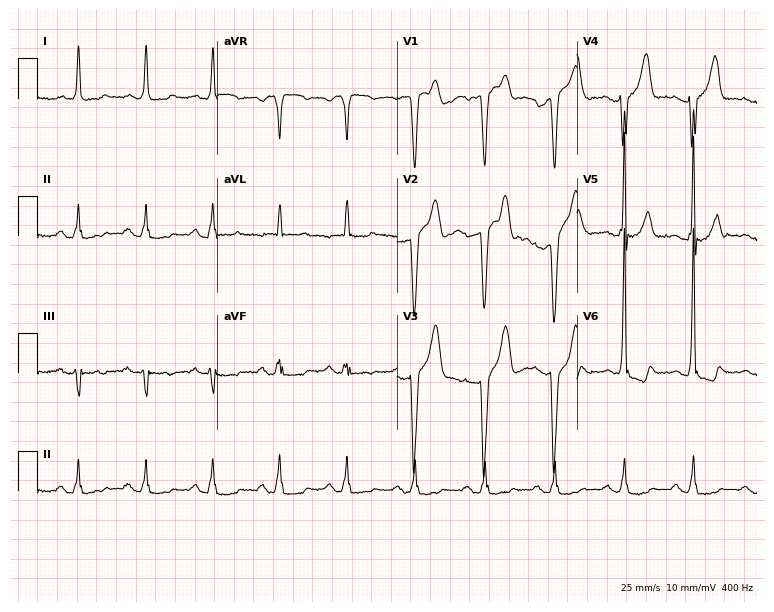
Standard 12-lead ECG recorded from a 79-year-old male. None of these six findings is recorded: first-degree AV block, right bundle branch block (RBBB), left bundle branch block (LBBB), sinus bradycardia, atrial fibrillation (AF), sinus tachycardia.